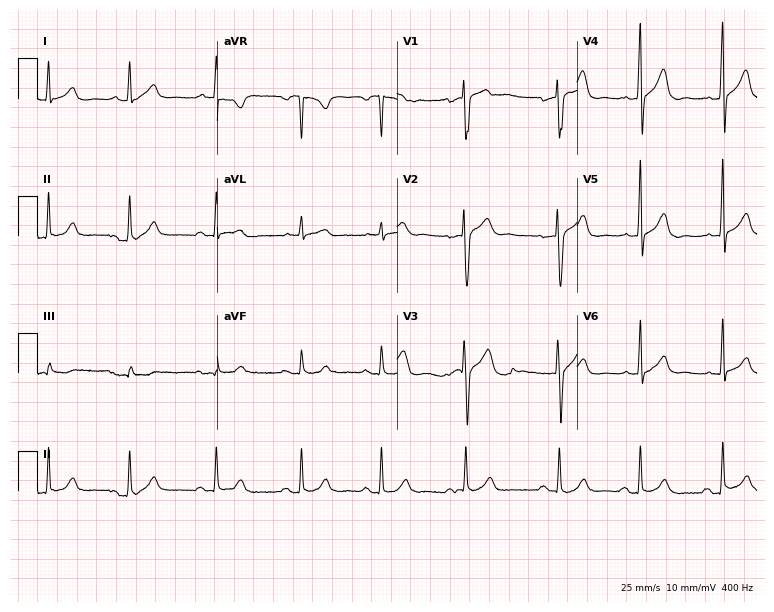
Electrocardiogram (7.3-second recording at 400 Hz), a 25-year-old man. Of the six screened findings (first-degree AV block, right bundle branch block (RBBB), left bundle branch block (LBBB), sinus bradycardia, atrial fibrillation (AF), sinus tachycardia), none is recorded.